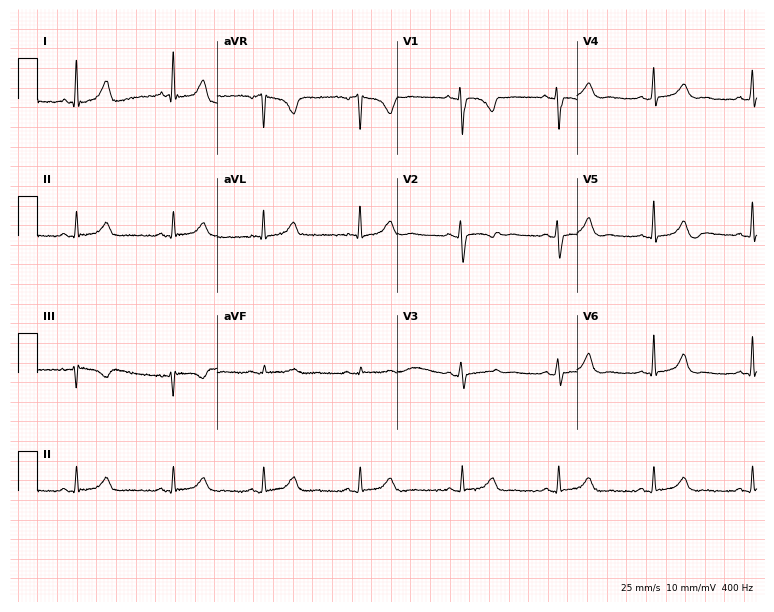
Resting 12-lead electrocardiogram (7.3-second recording at 400 Hz). Patient: a 30-year-old woman. Read as a normal ECG.